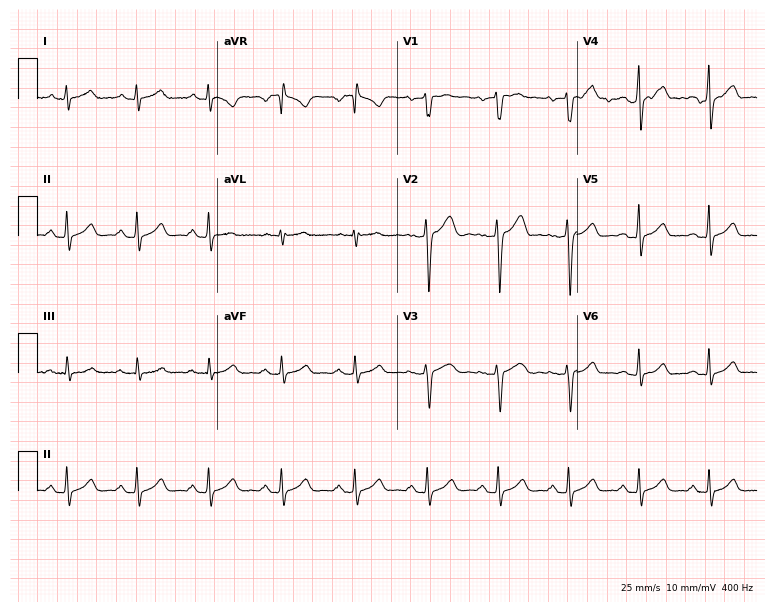
12-lead ECG from a male, 40 years old (7.3-second recording at 400 Hz). Recorded interpretation: within normal limits.